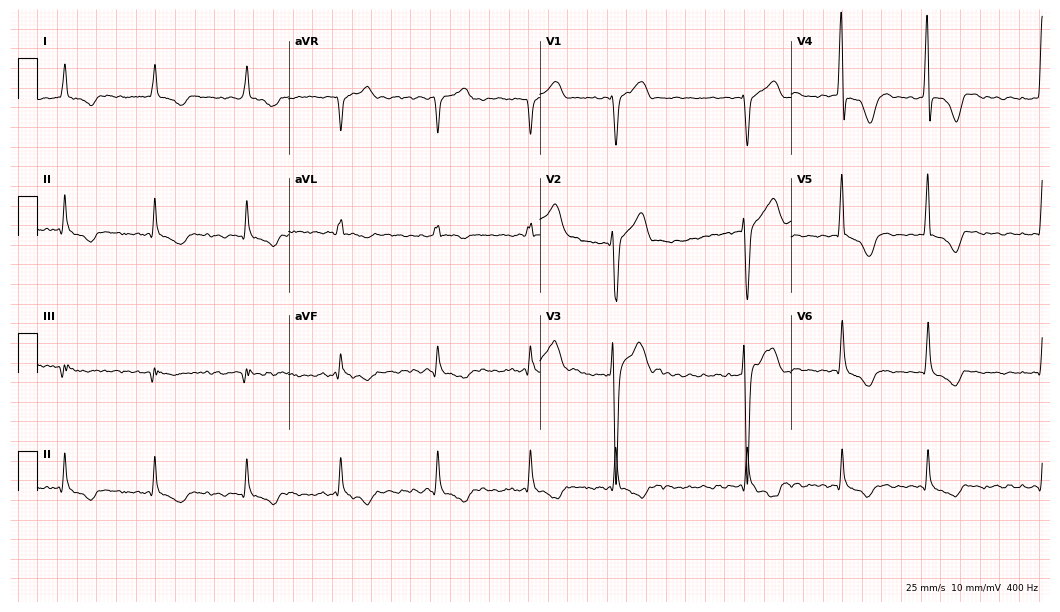
Resting 12-lead electrocardiogram (10.2-second recording at 400 Hz). Patient: a male, 64 years old. The tracing shows atrial fibrillation.